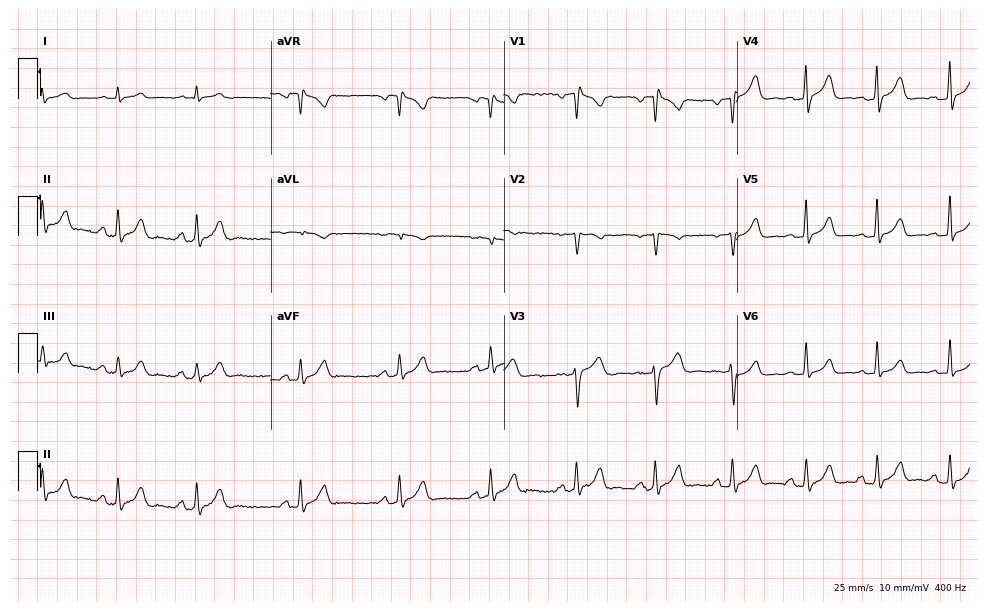
Standard 12-lead ECG recorded from a female, 53 years old. Read as a normal ECG.